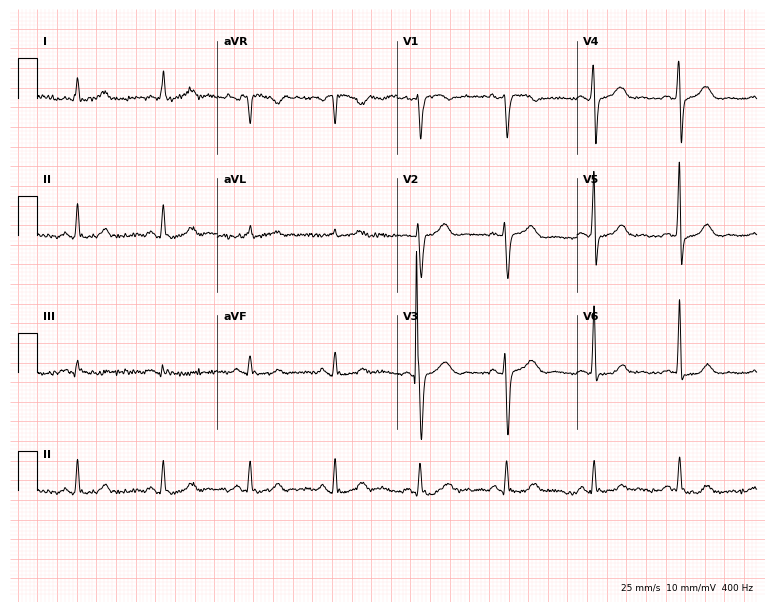
Standard 12-lead ECG recorded from a 56-year-old female patient. Read as a normal ECG.